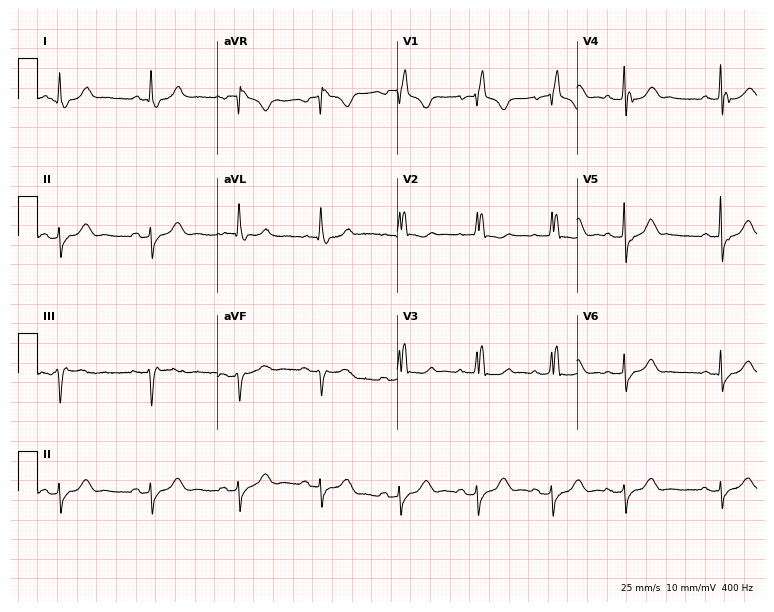
ECG — a female patient, 74 years old. Findings include right bundle branch block.